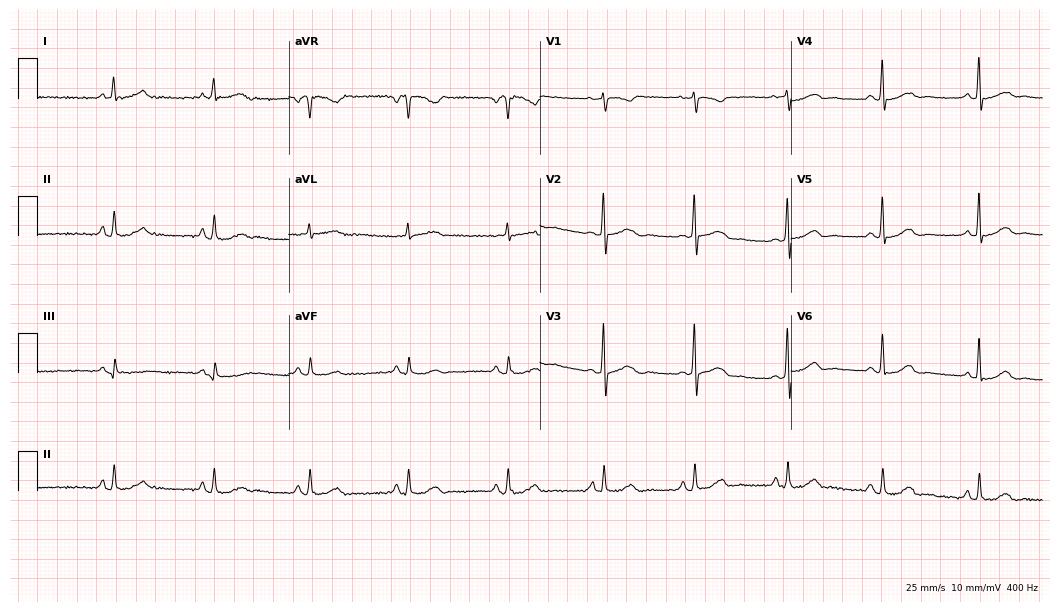
Standard 12-lead ECG recorded from a 59-year-old female (10.2-second recording at 400 Hz). None of these six findings is recorded: first-degree AV block, right bundle branch block (RBBB), left bundle branch block (LBBB), sinus bradycardia, atrial fibrillation (AF), sinus tachycardia. Other findings, if any, are not listed.